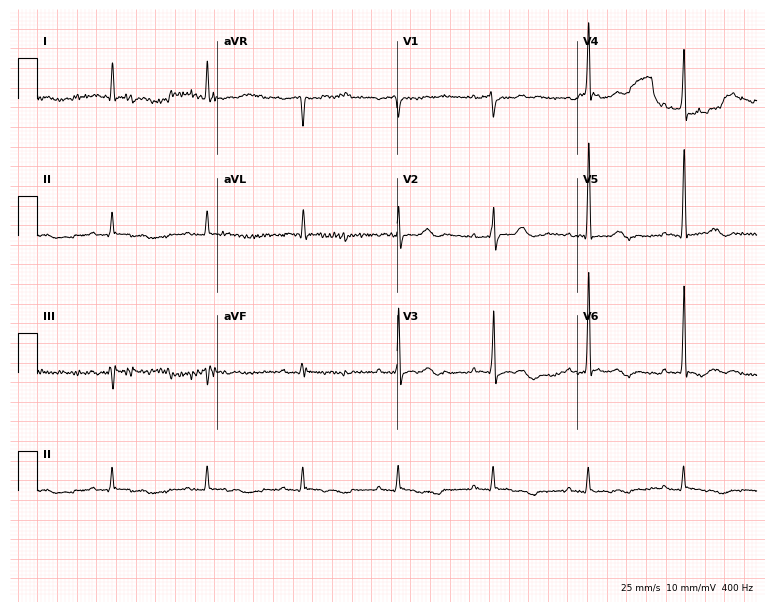
12-lead ECG from a 77-year-old male. No first-degree AV block, right bundle branch block, left bundle branch block, sinus bradycardia, atrial fibrillation or sinus tachycardia recorded for this tracing.